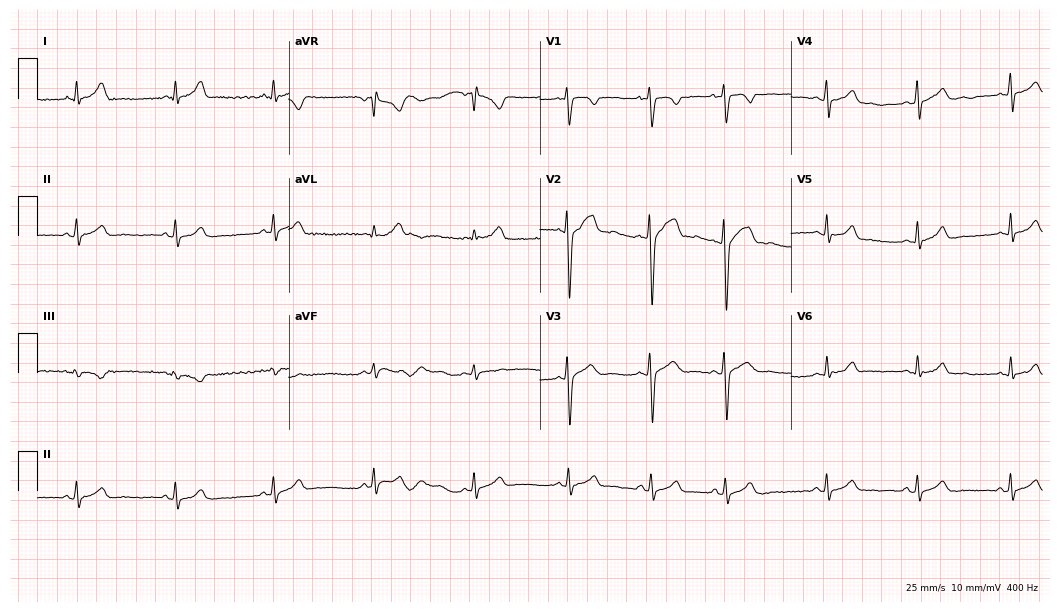
12-lead ECG from a woman, 32 years old. Labelled as a normal ECG.